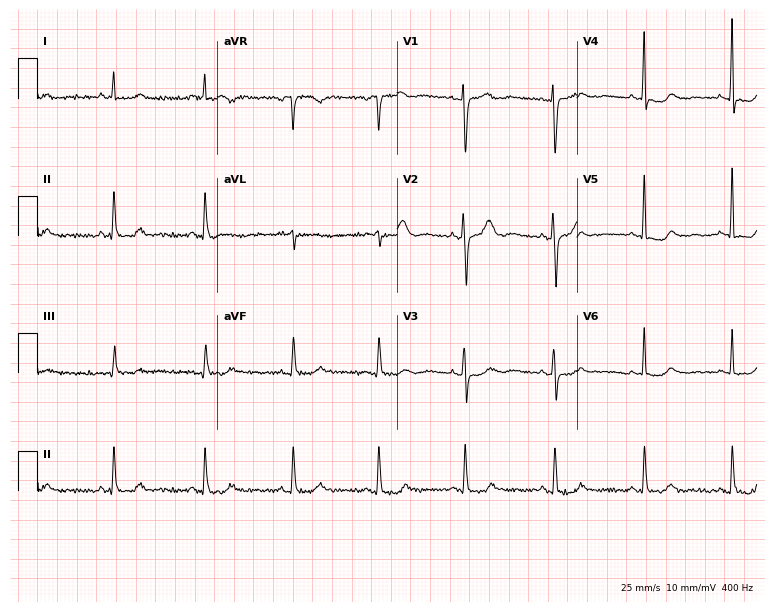
Electrocardiogram, a 51-year-old female. Of the six screened findings (first-degree AV block, right bundle branch block, left bundle branch block, sinus bradycardia, atrial fibrillation, sinus tachycardia), none is recorded. Only these six findings were labelled.